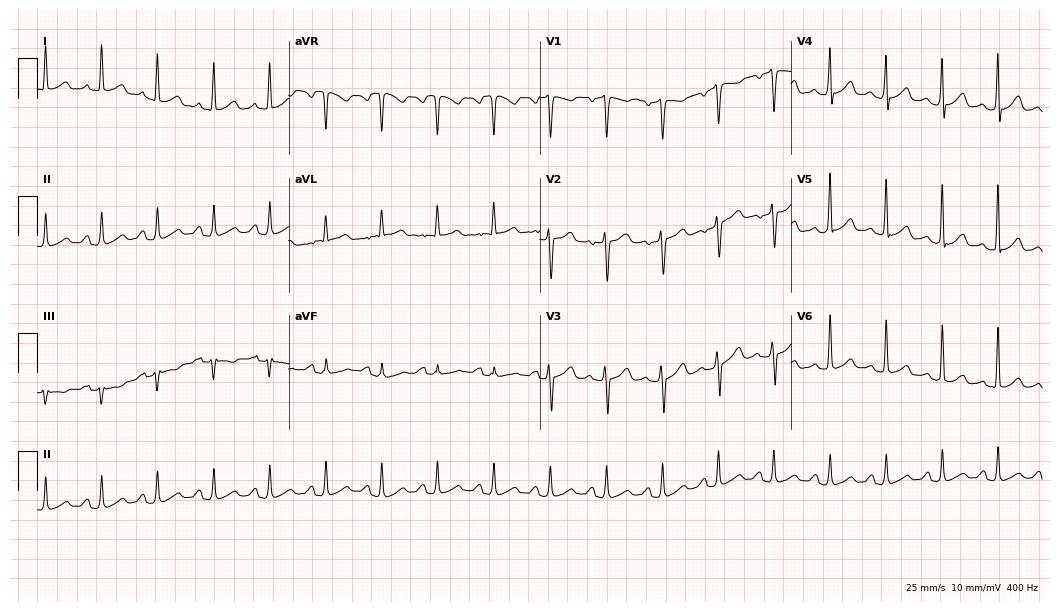
ECG — a 33-year-old female patient. Labelled as a normal ECG.